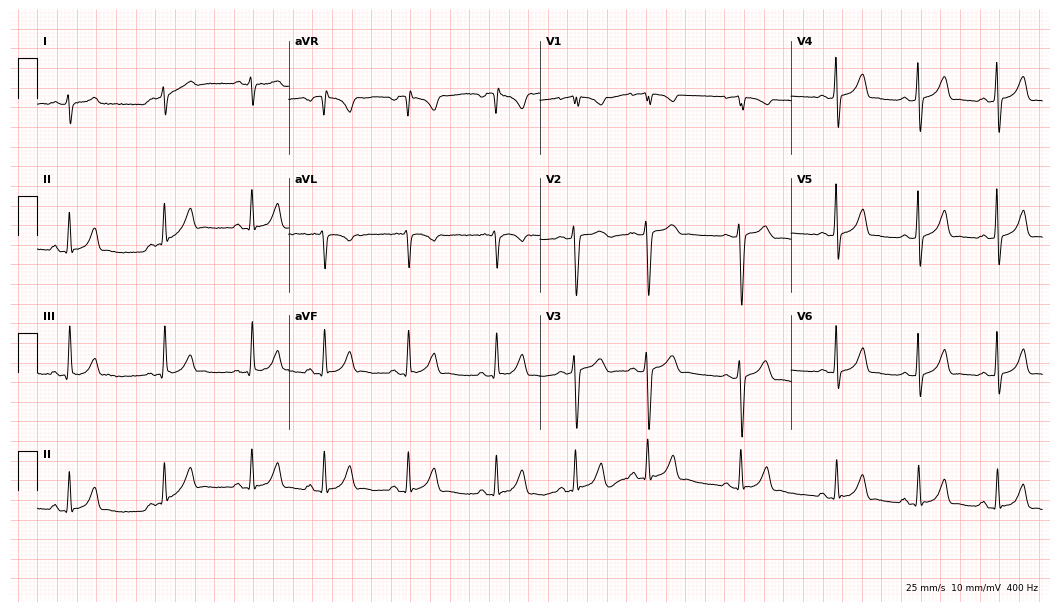
Electrocardiogram (10.2-second recording at 400 Hz), a female patient, 17 years old. Of the six screened findings (first-degree AV block, right bundle branch block, left bundle branch block, sinus bradycardia, atrial fibrillation, sinus tachycardia), none is recorded. Only these six findings were labelled.